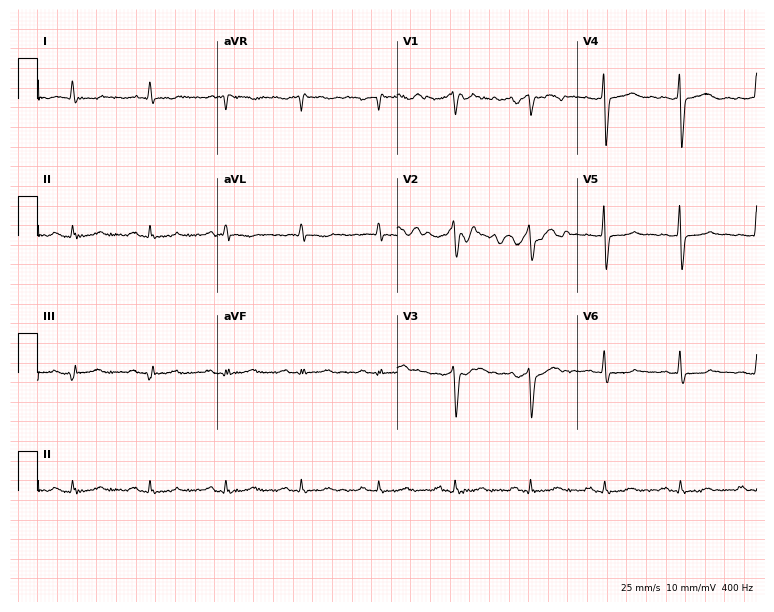
ECG — a male patient, 57 years old. Screened for six findings — first-degree AV block, right bundle branch block (RBBB), left bundle branch block (LBBB), sinus bradycardia, atrial fibrillation (AF), sinus tachycardia — none is recorded. Other findings, if any, are not listed.